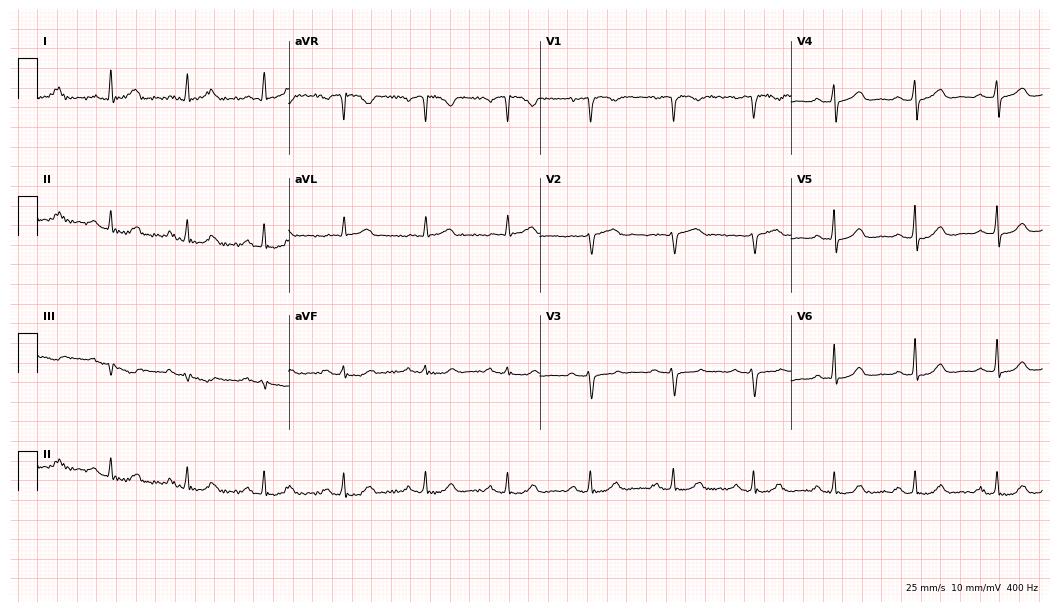
Standard 12-lead ECG recorded from a 55-year-old female patient. Read as a normal ECG.